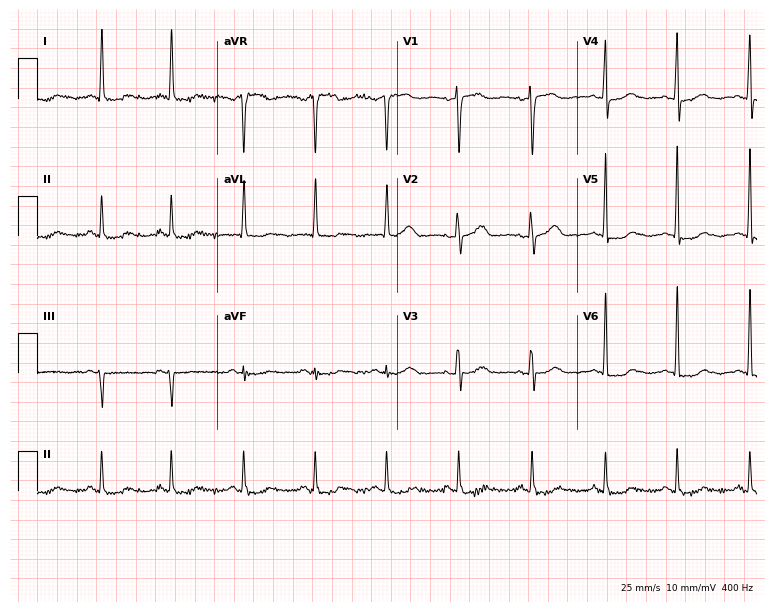
12-lead ECG from a female patient, 55 years old. Screened for six findings — first-degree AV block, right bundle branch block, left bundle branch block, sinus bradycardia, atrial fibrillation, sinus tachycardia — none is recorded.